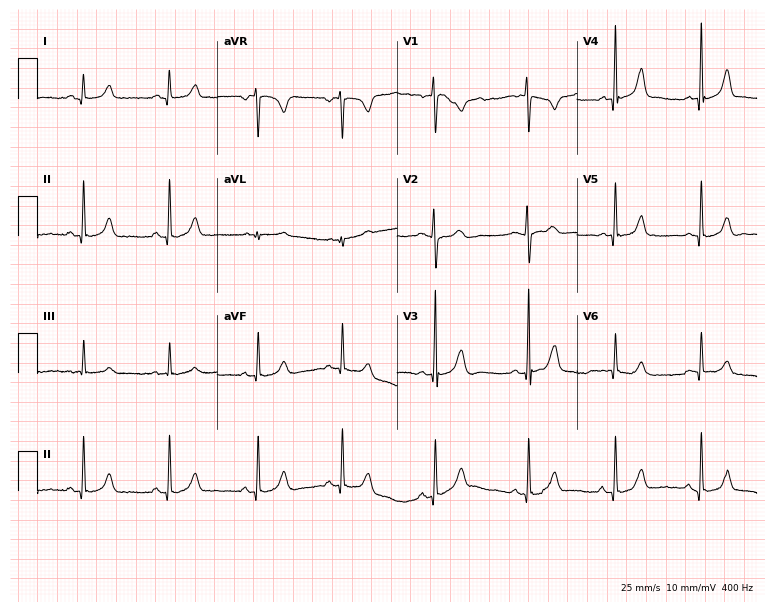
Standard 12-lead ECG recorded from a 21-year-old female. Read as a normal ECG.